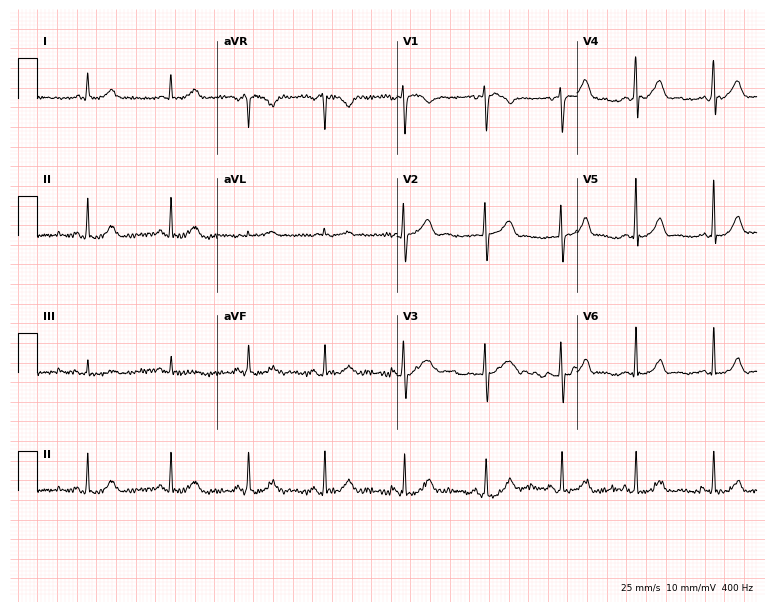
12-lead ECG from a female, 21 years old. Recorded interpretation: within normal limits.